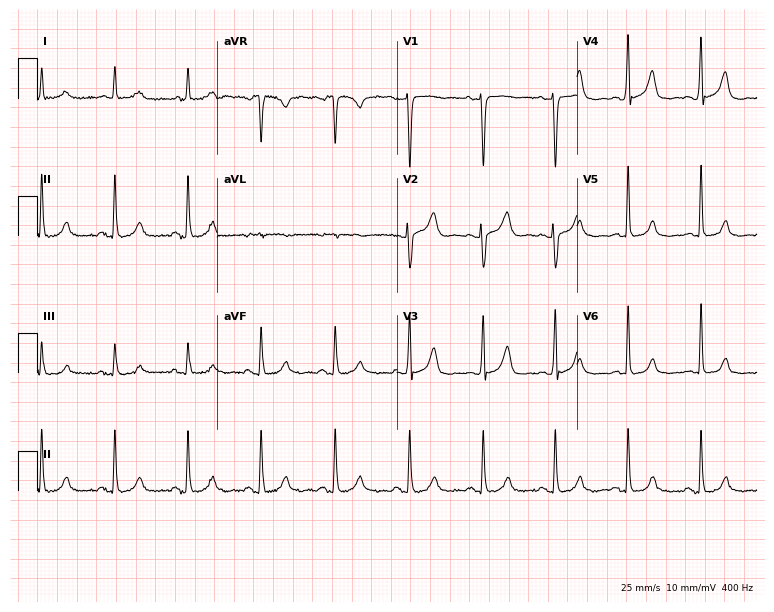
Electrocardiogram, a 67-year-old female. Overall reading on record: normal ECG.